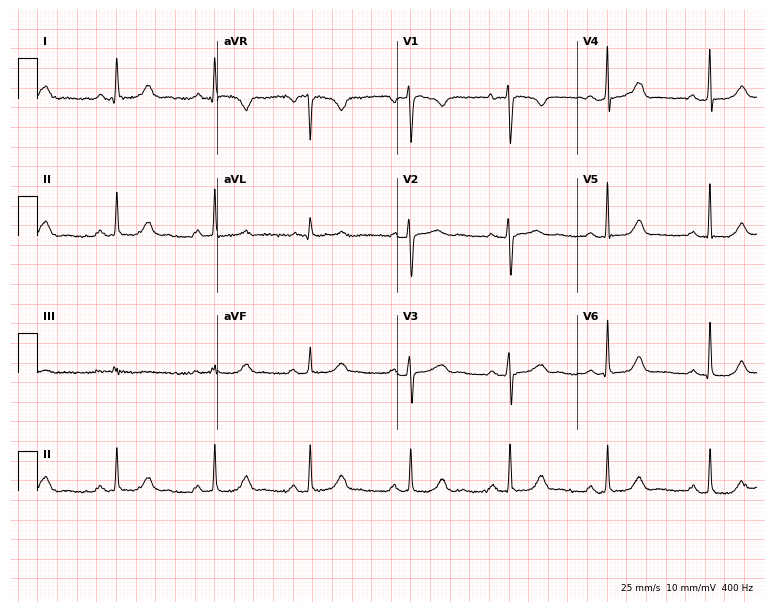
Resting 12-lead electrocardiogram. Patient: a 38-year-old female. None of these six findings is recorded: first-degree AV block, right bundle branch block, left bundle branch block, sinus bradycardia, atrial fibrillation, sinus tachycardia. Other findings, if any, are not listed.